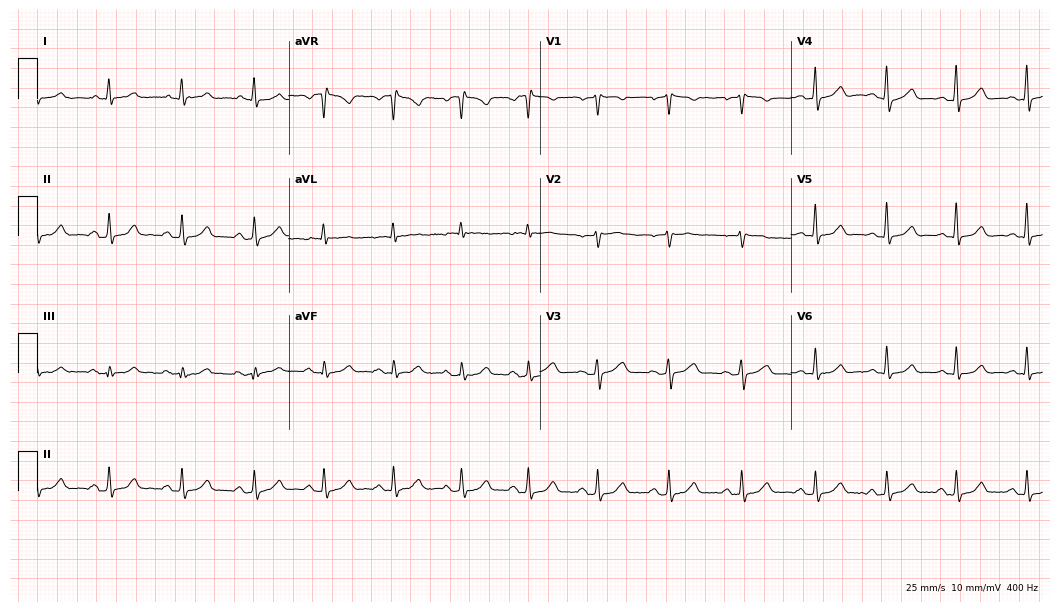
12-lead ECG from a 61-year-old woman. Recorded interpretation: within normal limits.